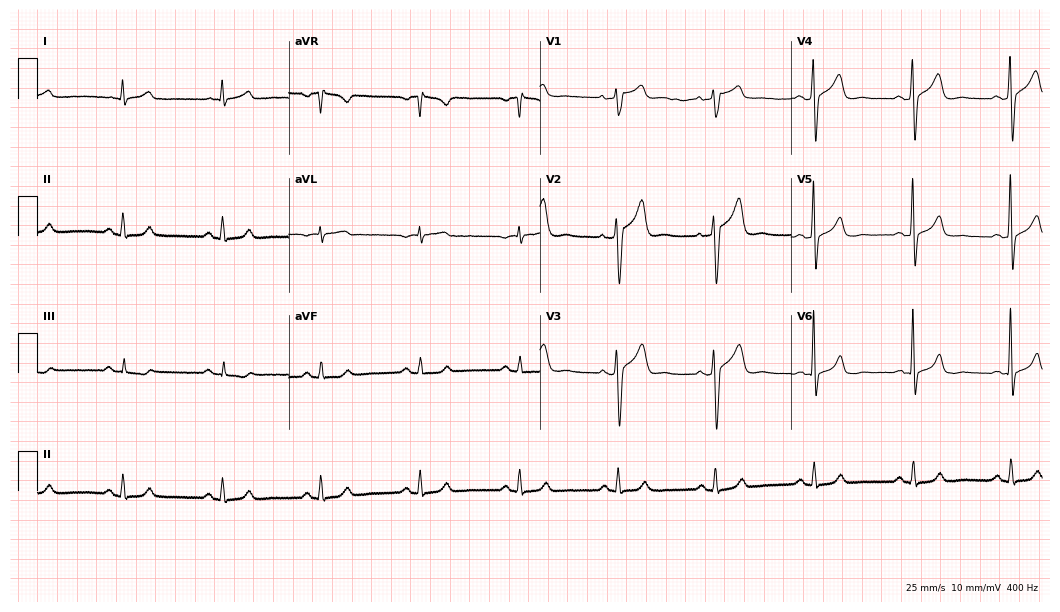
ECG — a 76-year-old male. Labelled as a normal ECG.